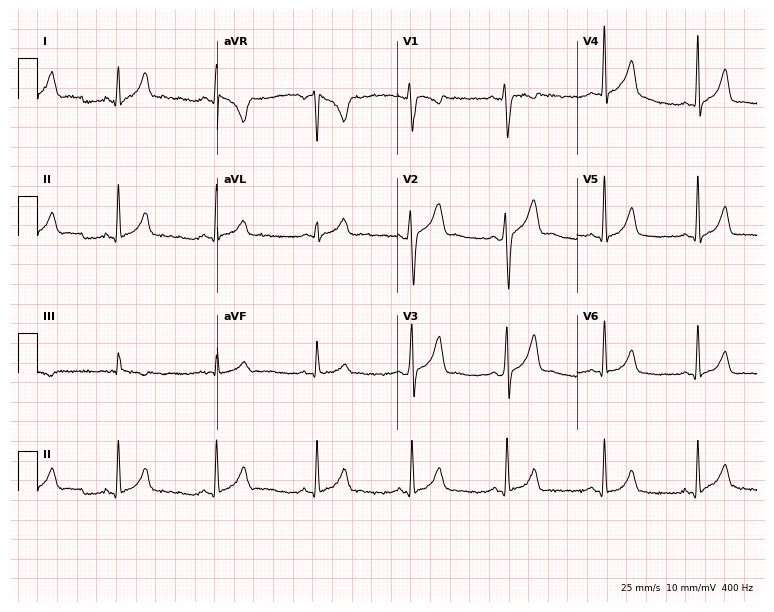
12-lead ECG (7.3-second recording at 400 Hz) from a 21-year-old male. Labelled as a normal ECG.